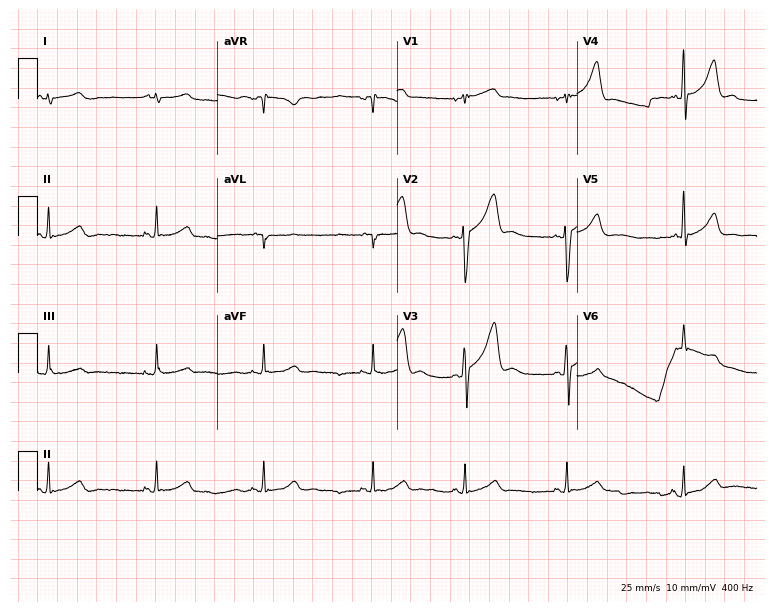
Standard 12-lead ECG recorded from a 36-year-old male. None of these six findings is recorded: first-degree AV block, right bundle branch block (RBBB), left bundle branch block (LBBB), sinus bradycardia, atrial fibrillation (AF), sinus tachycardia. Other findings, if any, are not listed.